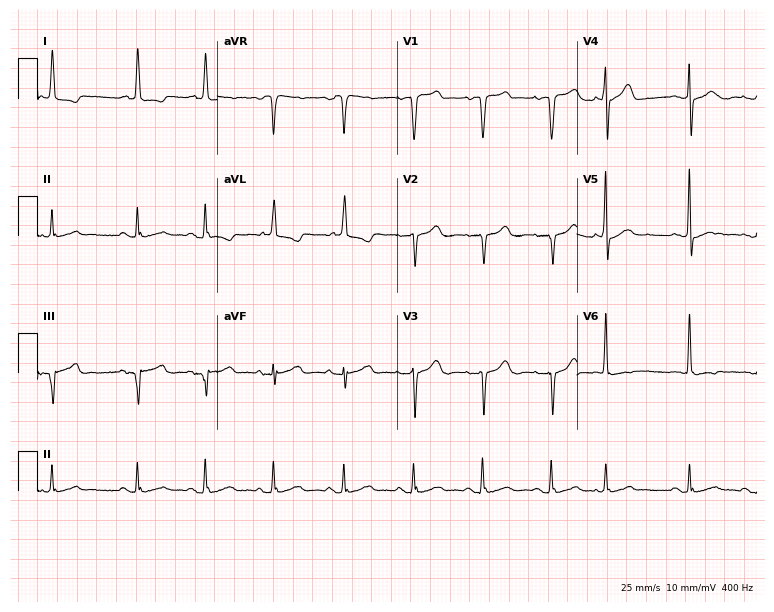
ECG (7.3-second recording at 400 Hz) — a woman, 79 years old. Screened for six findings — first-degree AV block, right bundle branch block (RBBB), left bundle branch block (LBBB), sinus bradycardia, atrial fibrillation (AF), sinus tachycardia — none is recorded. Other findings, if any, are not listed.